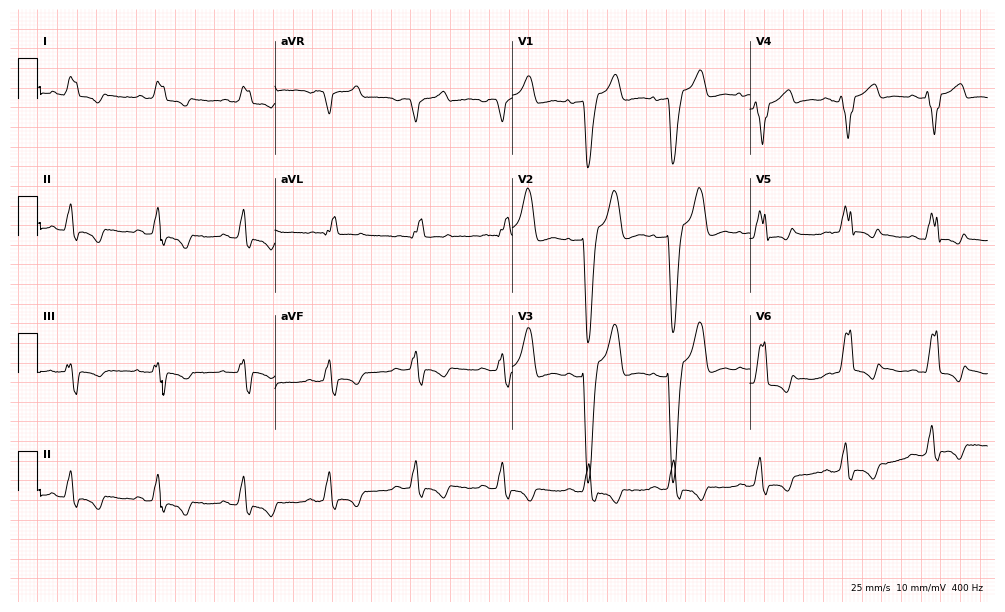
Resting 12-lead electrocardiogram. Patient: a male, 88 years old. The tracing shows left bundle branch block (LBBB).